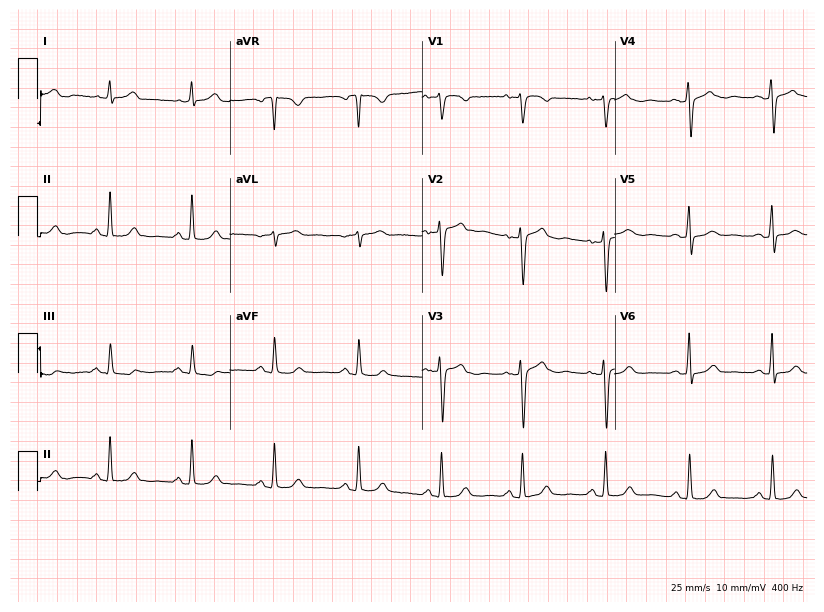
Electrocardiogram (7.8-second recording at 400 Hz), a 38-year-old female. Overall reading on record: normal ECG.